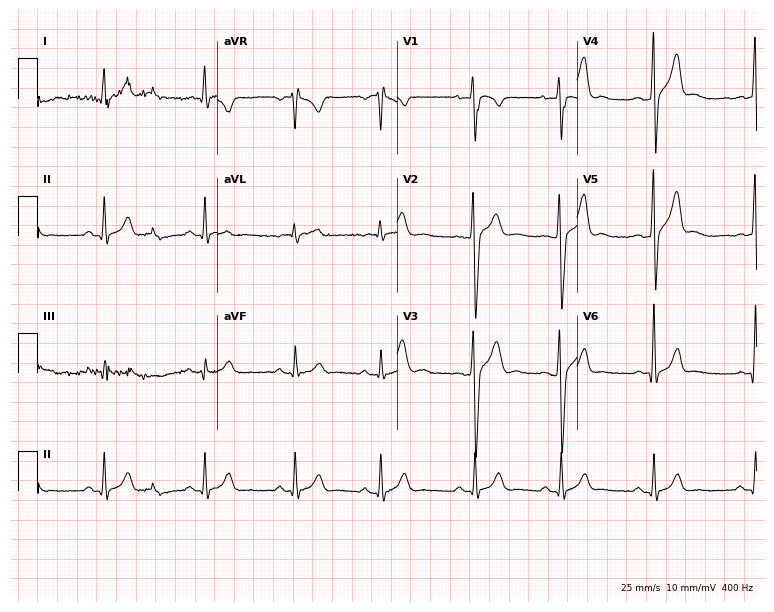
12-lead ECG (7.3-second recording at 400 Hz) from a 17-year-old male patient. Screened for six findings — first-degree AV block, right bundle branch block, left bundle branch block, sinus bradycardia, atrial fibrillation, sinus tachycardia — none is recorded. Only these six findings were labelled.